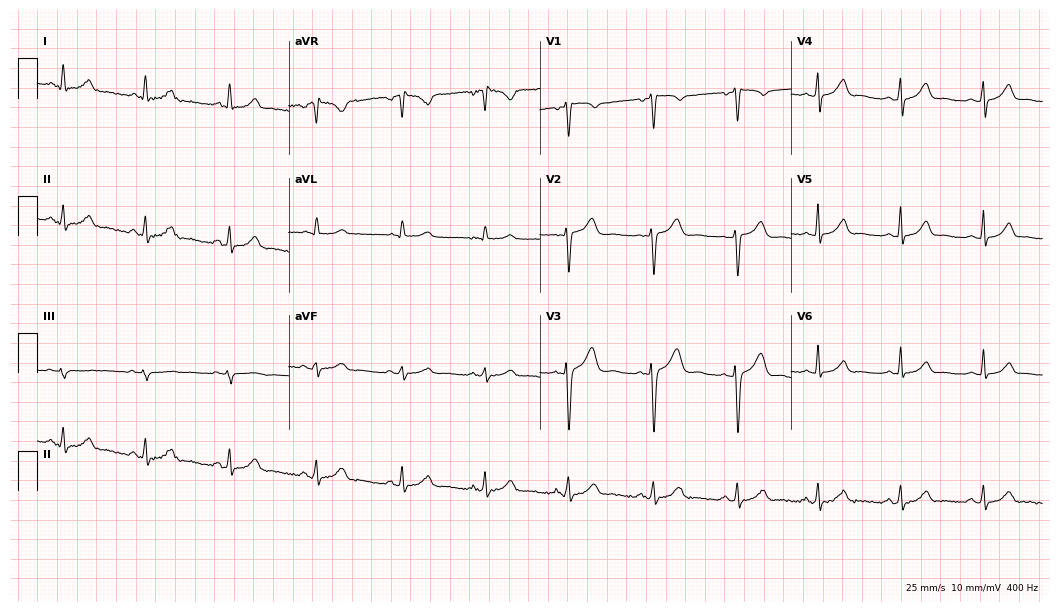
12-lead ECG (10.2-second recording at 400 Hz) from a 43-year-old woman. Labelled as a normal ECG.